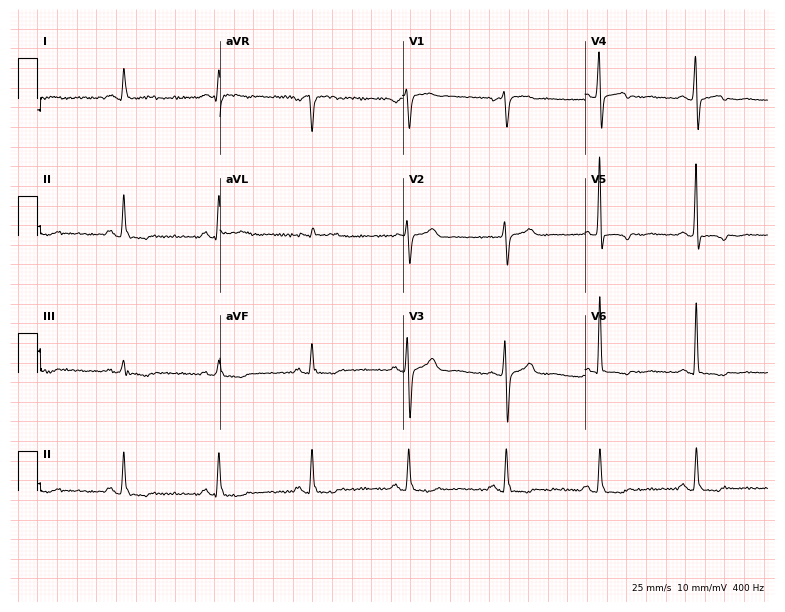
ECG — a 58-year-old female patient. Screened for six findings — first-degree AV block, right bundle branch block (RBBB), left bundle branch block (LBBB), sinus bradycardia, atrial fibrillation (AF), sinus tachycardia — none is recorded.